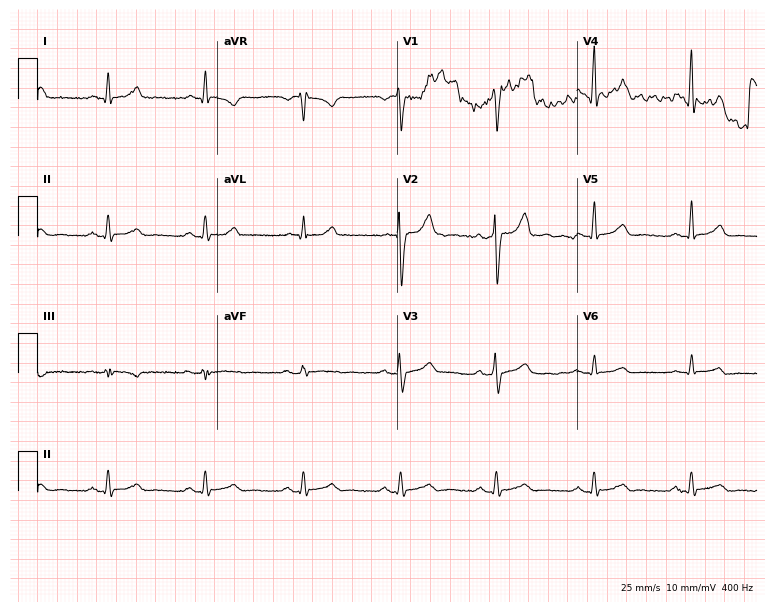
Standard 12-lead ECG recorded from a male patient, 54 years old (7.3-second recording at 400 Hz). None of these six findings is recorded: first-degree AV block, right bundle branch block (RBBB), left bundle branch block (LBBB), sinus bradycardia, atrial fibrillation (AF), sinus tachycardia. Only these six findings were labelled.